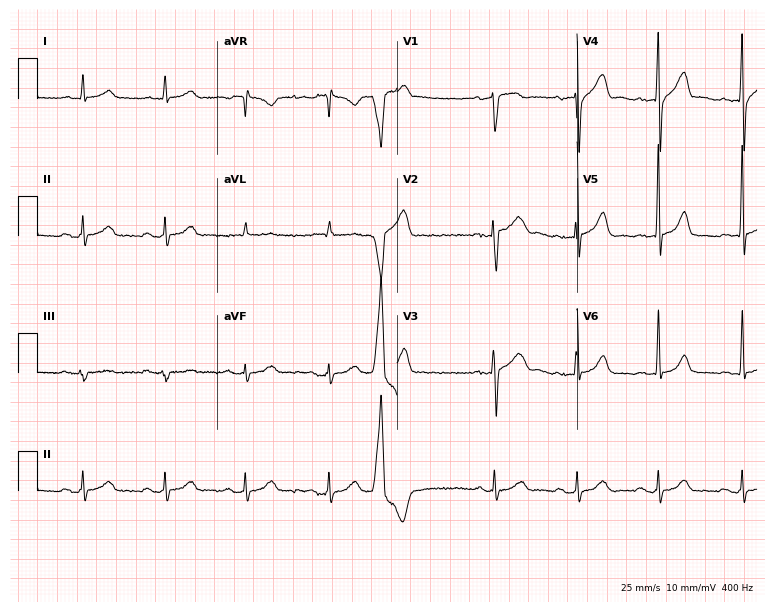
Electrocardiogram (7.3-second recording at 400 Hz), a 65-year-old male. Of the six screened findings (first-degree AV block, right bundle branch block, left bundle branch block, sinus bradycardia, atrial fibrillation, sinus tachycardia), none is recorded.